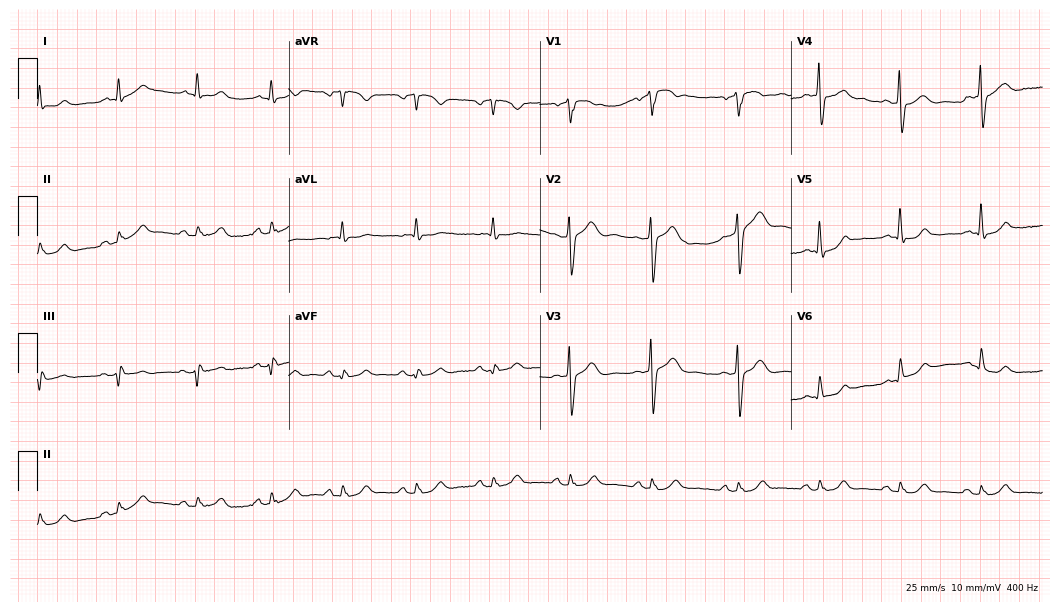
Resting 12-lead electrocardiogram. Patient: a 68-year-old male. Read as a normal ECG.